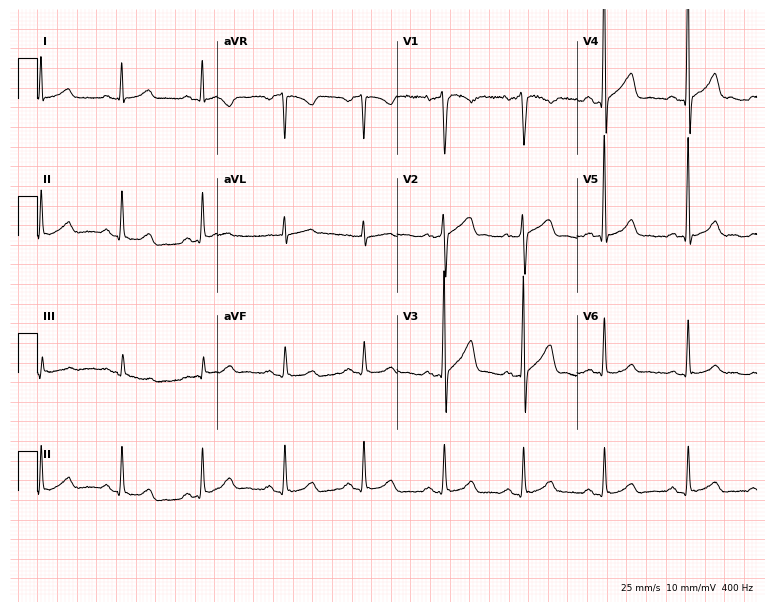
ECG (7.3-second recording at 400 Hz) — a 47-year-old man. Labelled as a normal ECG.